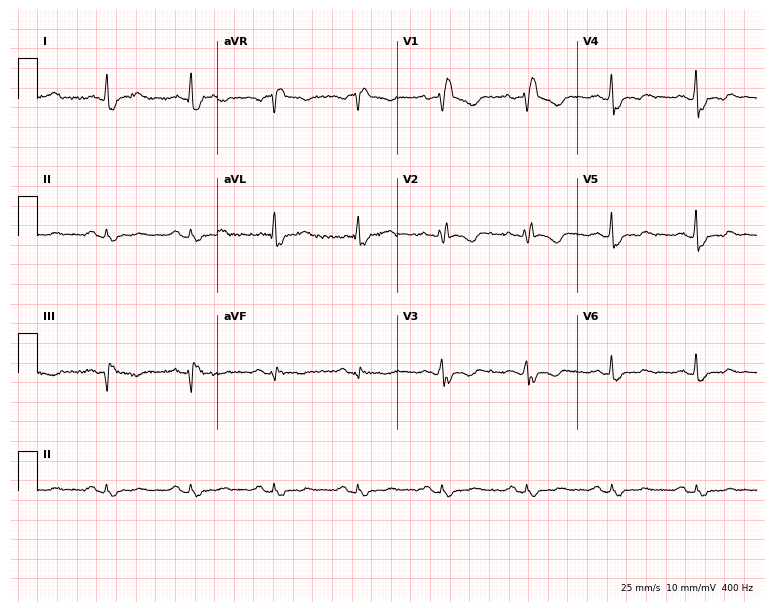
12-lead ECG from a 53-year-old female patient. Shows right bundle branch block.